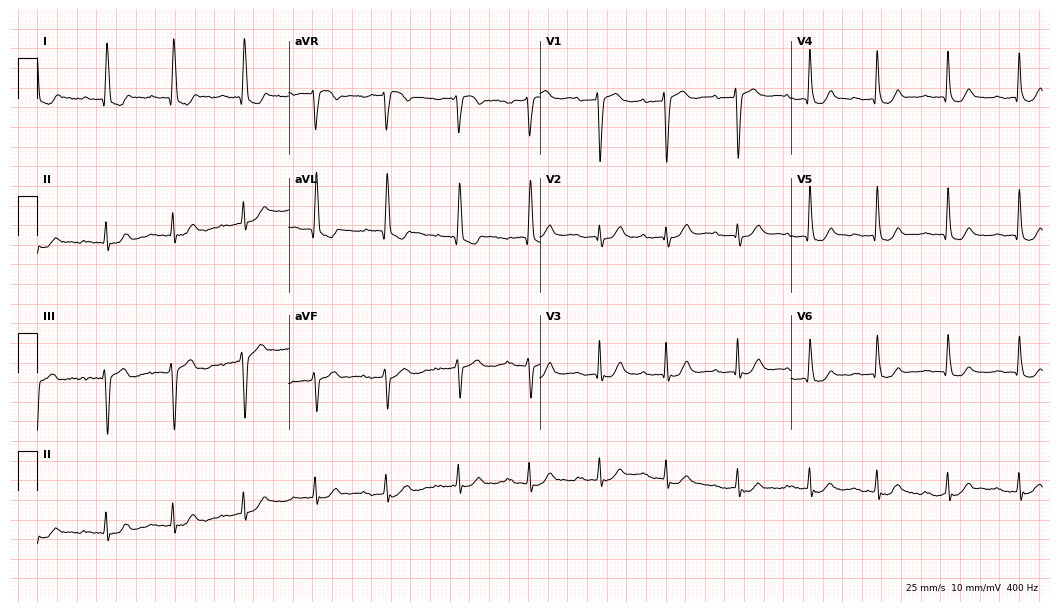
Electrocardiogram (10.2-second recording at 400 Hz), a 79-year-old woman. Of the six screened findings (first-degree AV block, right bundle branch block (RBBB), left bundle branch block (LBBB), sinus bradycardia, atrial fibrillation (AF), sinus tachycardia), none is recorded. Findings outside these six are not listed.